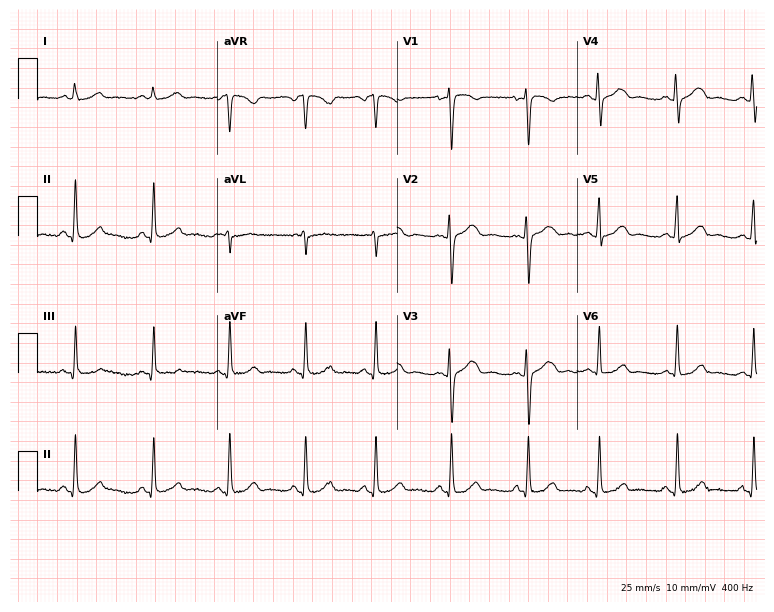
ECG (7.3-second recording at 400 Hz) — a female patient, 18 years old. Screened for six findings — first-degree AV block, right bundle branch block, left bundle branch block, sinus bradycardia, atrial fibrillation, sinus tachycardia — none is recorded.